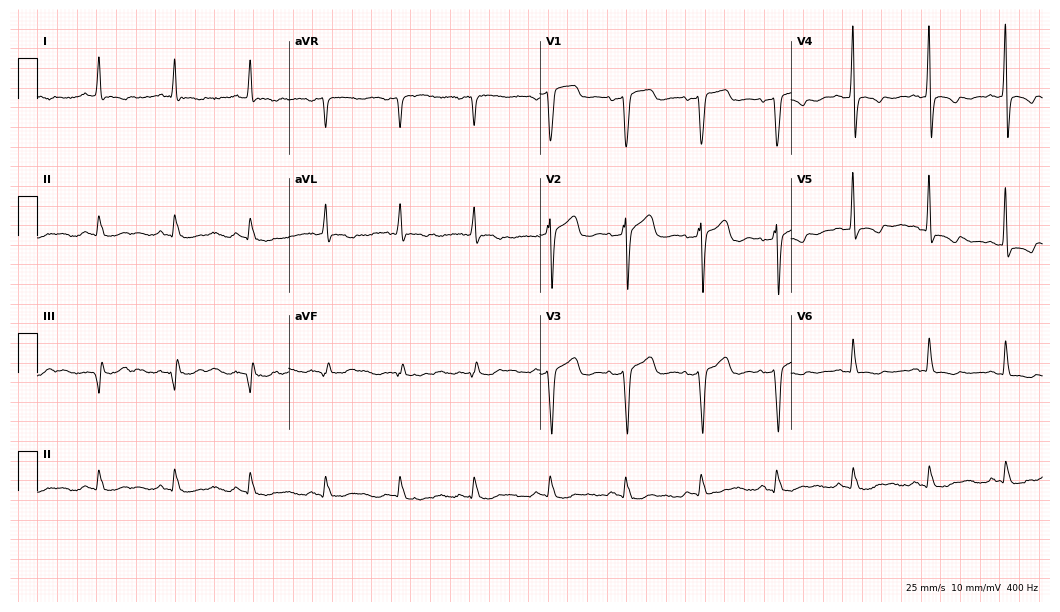
ECG — a 56-year-old man. Screened for six findings — first-degree AV block, right bundle branch block, left bundle branch block, sinus bradycardia, atrial fibrillation, sinus tachycardia — none is recorded. Findings outside these six are not listed.